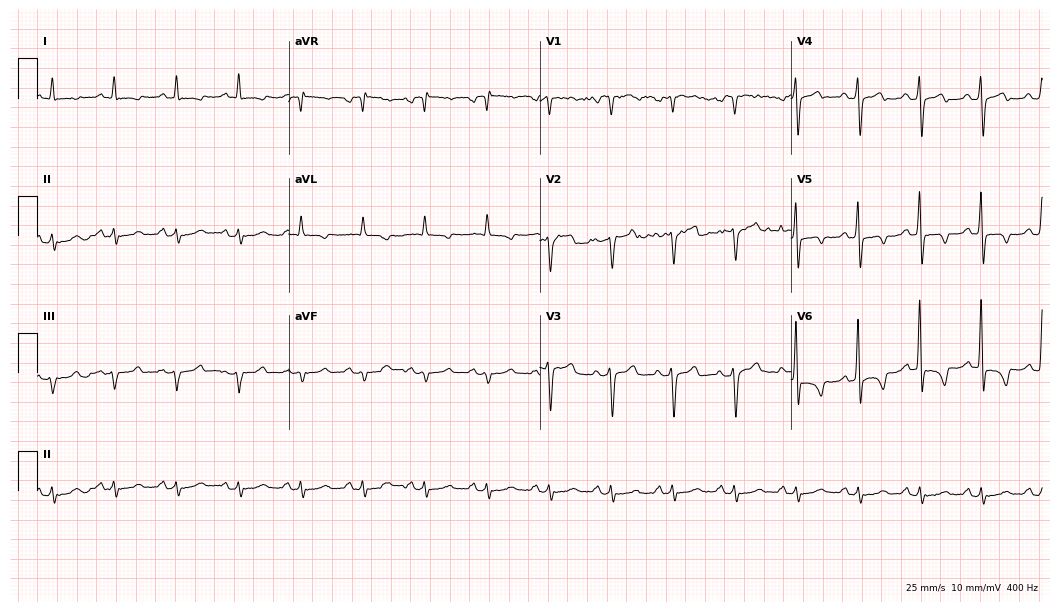
Electrocardiogram (10.2-second recording at 400 Hz), a male patient, 80 years old. Of the six screened findings (first-degree AV block, right bundle branch block, left bundle branch block, sinus bradycardia, atrial fibrillation, sinus tachycardia), none is recorded.